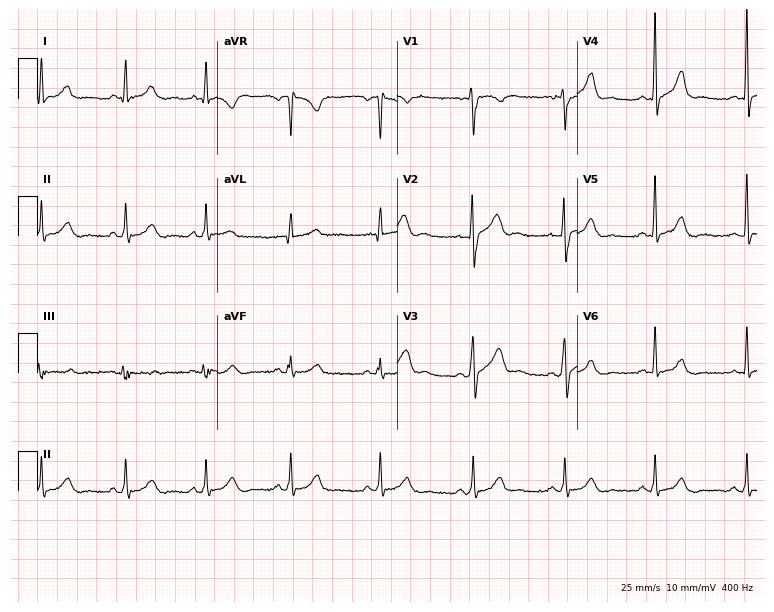
Electrocardiogram (7.3-second recording at 400 Hz), a 33-year-old male patient. Overall reading on record: normal ECG.